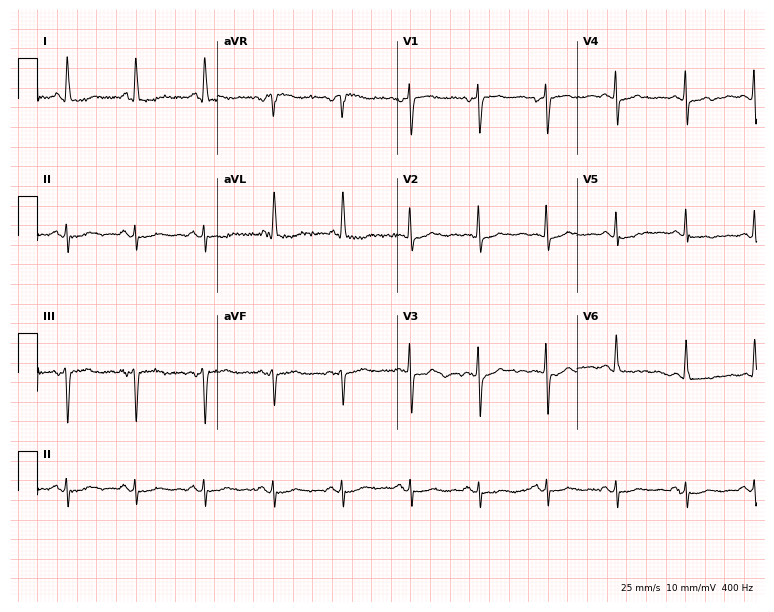
ECG (7.3-second recording at 400 Hz) — a female patient, 79 years old. Screened for six findings — first-degree AV block, right bundle branch block (RBBB), left bundle branch block (LBBB), sinus bradycardia, atrial fibrillation (AF), sinus tachycardia — none is recorded. Findings outside these six are not listed.